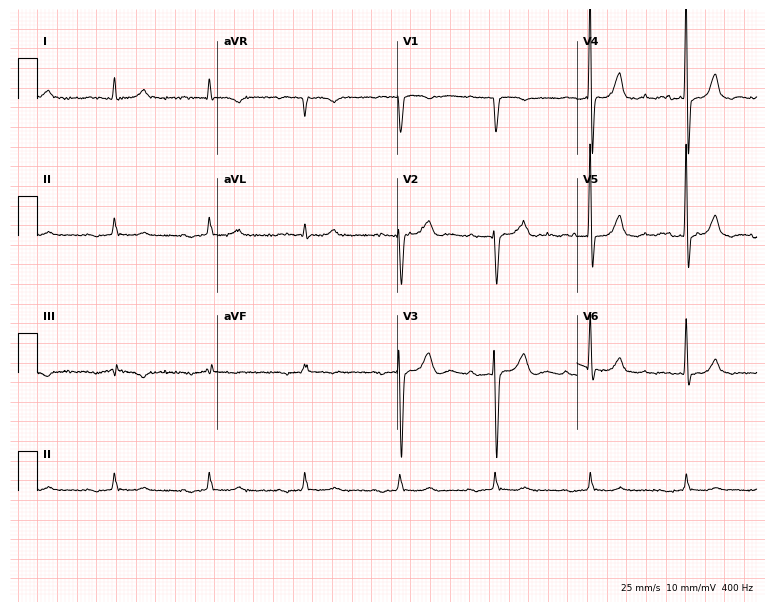
12-lead ECG from a man, 83 years old. Shows first-degree AV block.